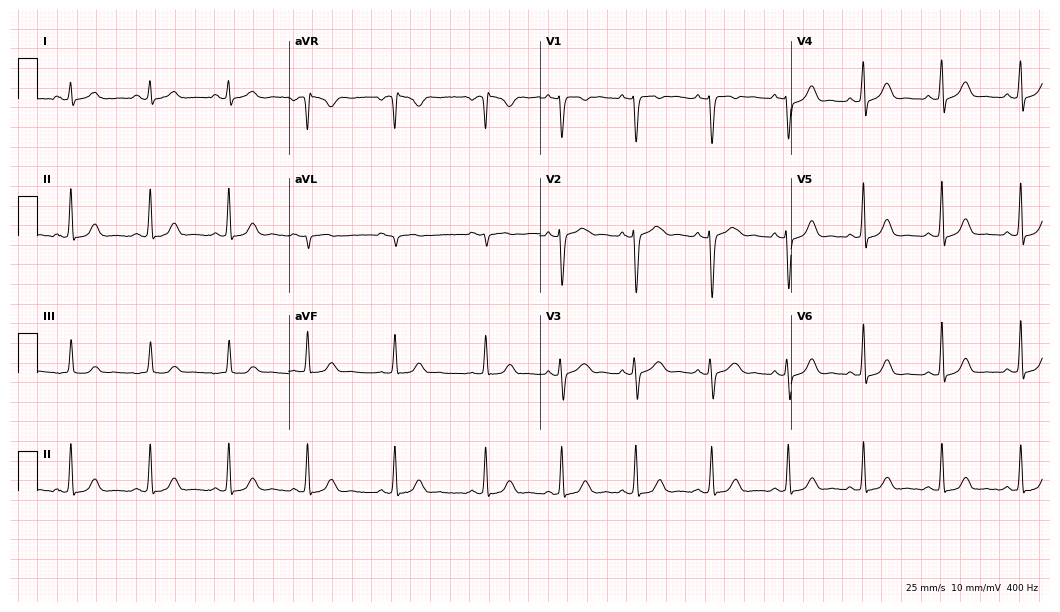
Electrocardiogram (10.2-second recording at 400 Hz), a female, 20 years old. Of the six screened findings (first-degree AV block, right bundle branch block, left bundle branch block, sinus bradycardia, atrial fibrillation, sinus tachycardia), none is recorded.